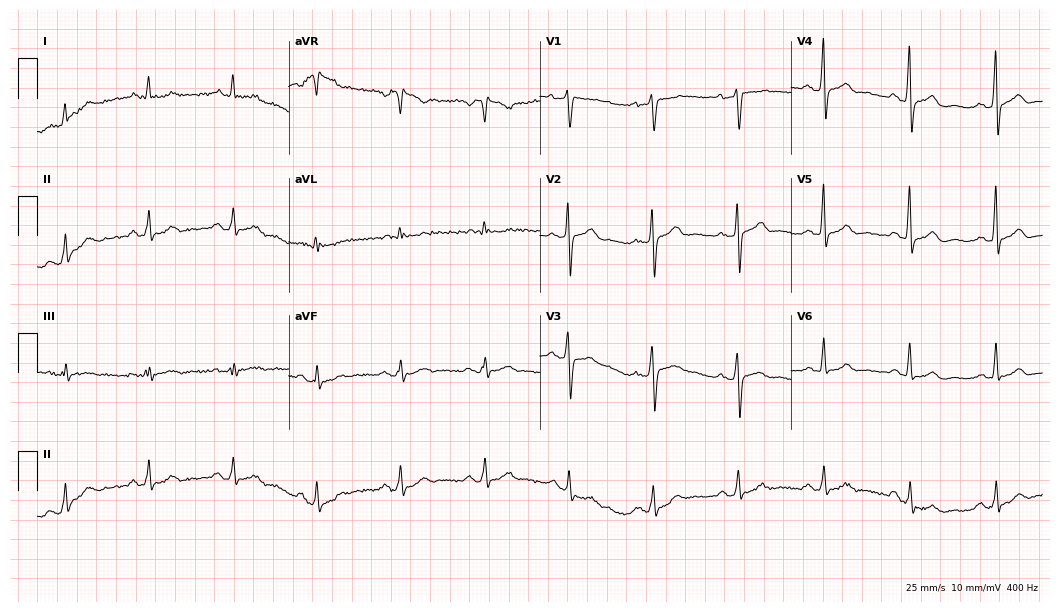
ECG — a male patient, 56 years old. Labelled as a normal ECG.